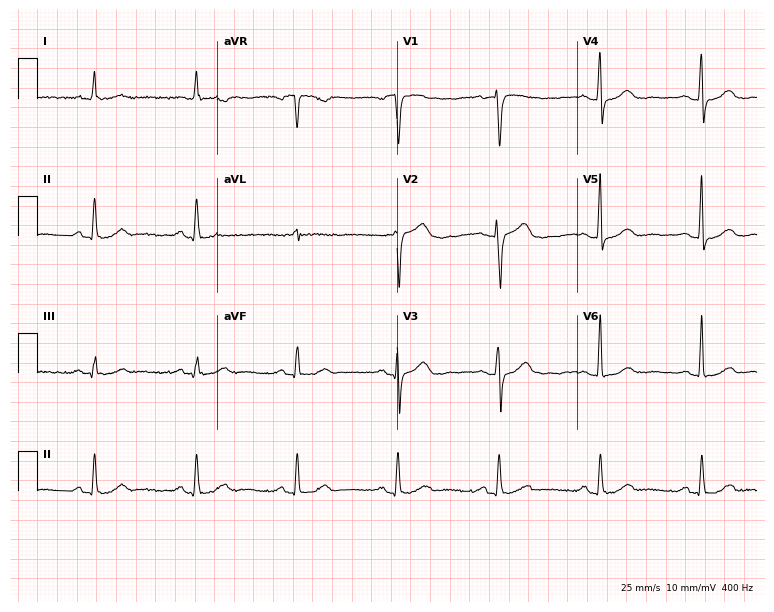
12-lead ECG (7.3-second recording at 400 Hz) from a 69-year-old female. Labelled as a normal ECG.